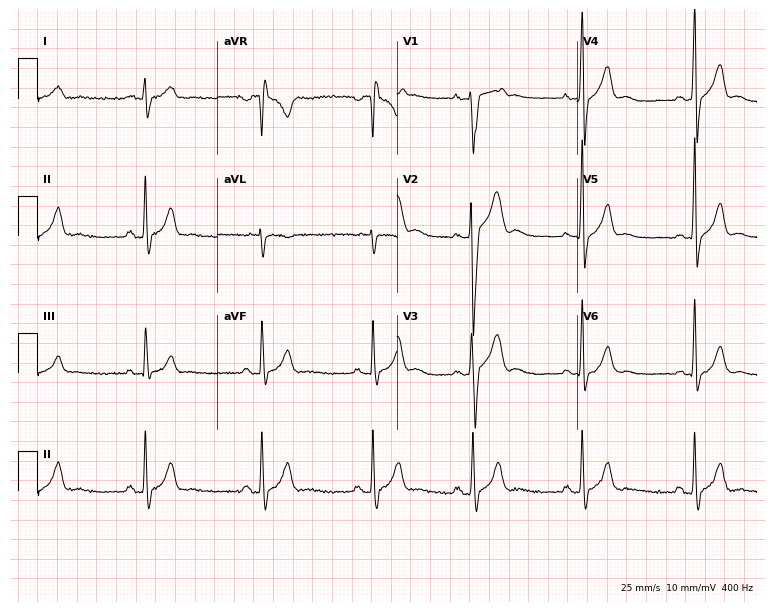
Resting 12-lead electrocardiogram (7.3-second recording at 400 Hz). Patient: a male, 17 years old. None of these six findings is recorded: first-degree AV block, right bundle branch block (RBBB), left bundle branch block (LBBB), sinus bradycardia, atrial fibrillation (AF), sinus tachycardia.